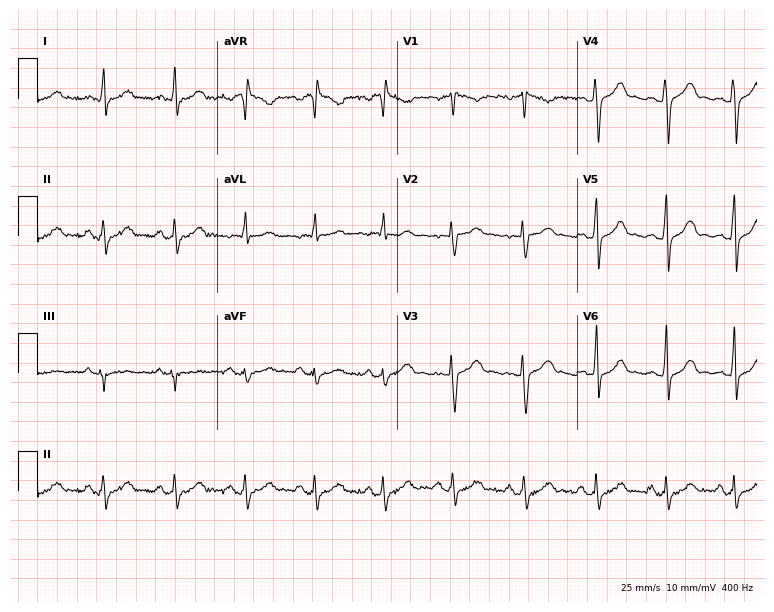
Resting 12-lead electrocardiogram (7.3-second recording at 400 Hz). Patient: a 27-year-old man. None of these six findings is recorded: first-degree AV block, right bundle branch block, left bundle branch block, sinus bradycardia, atrial fibrillation, sinus tachycardia.